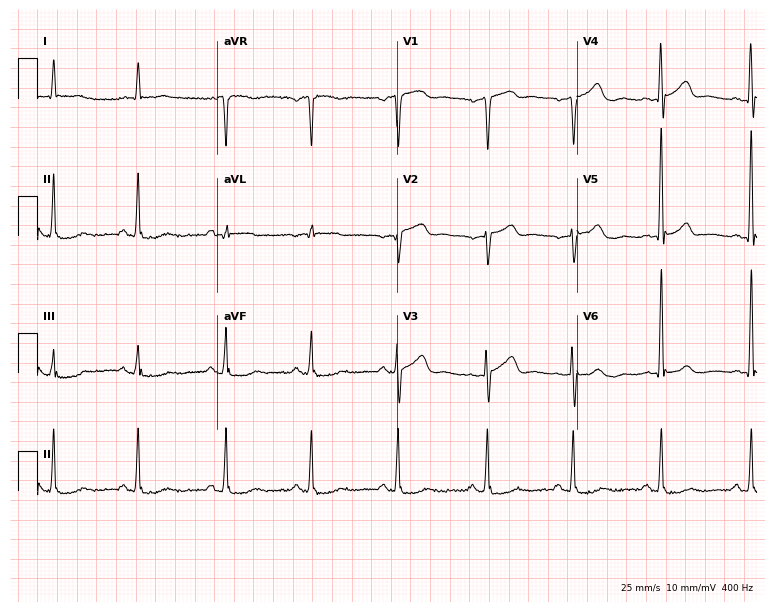
Standard 12-lead ECG recorded from a 75-year-old male (7.3-second recording at 400 Hz). Read as a normal ECG.